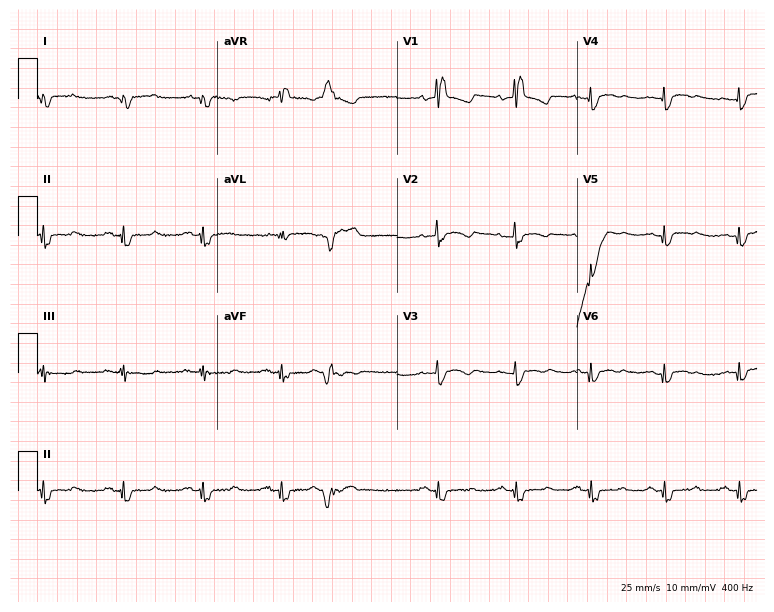
Electrocardiogram, a male patient, 61 years old. Interpretation includes right bundle branch block.